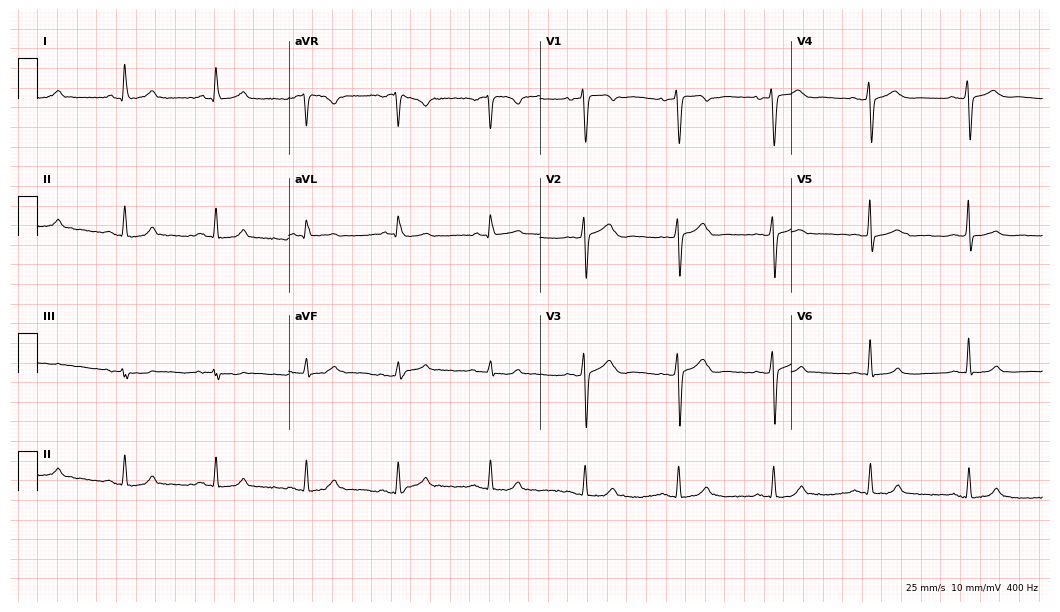
12-lead ECG from a female patient, 36 years old. Labelled as a normal ECG.